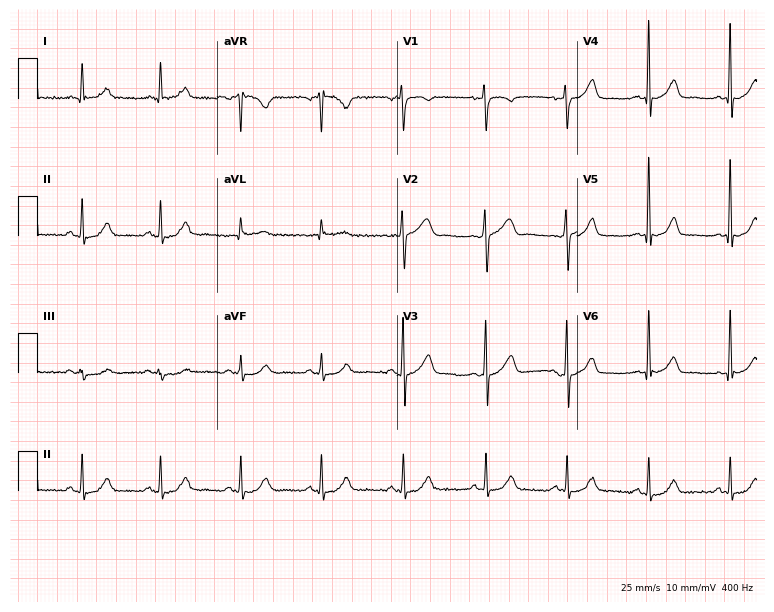
ECG — a man, 51 years old. Labelled as a normal ECG.